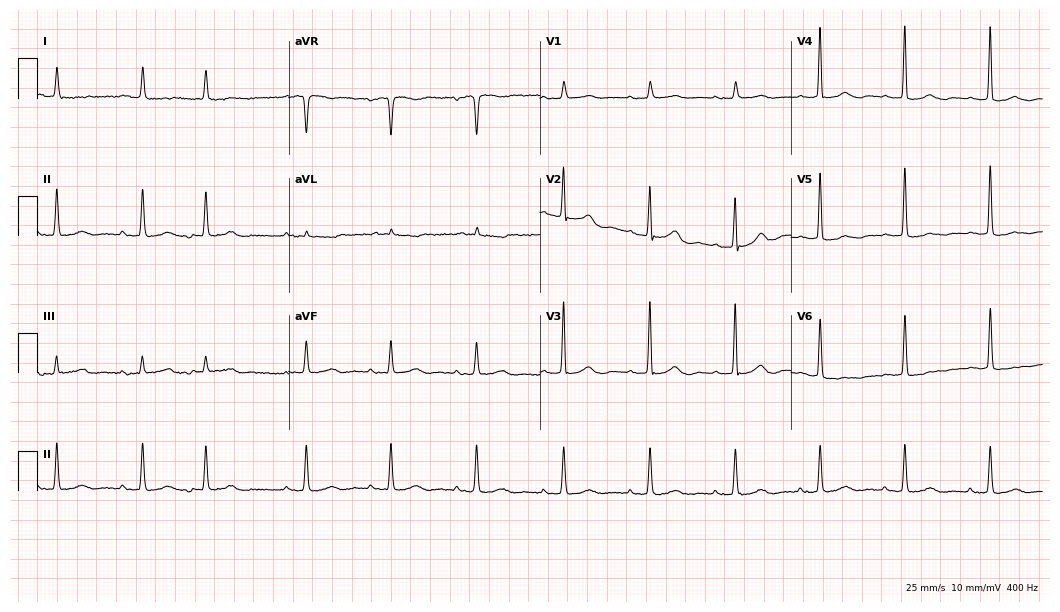
12-lead ECG from a female patient, 87 years old. Recorded interpretation: within normal limits.